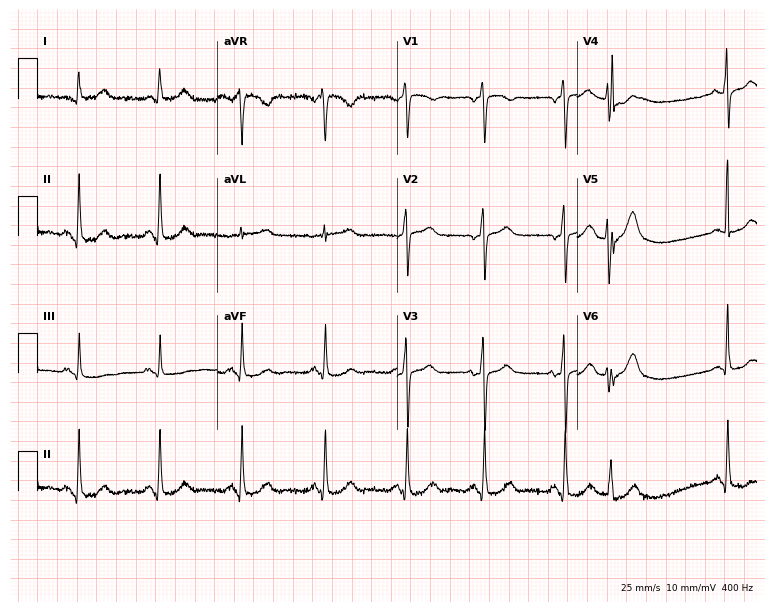
ECG (7.3-second recording at 400 Hz) — a 69-year-old female. Screened for six findings — first-degree AV block, right bundle branch block, left bundle branch block, sinus bradycardia, atrial fibrillation, sinus tachycardia — none is recorded. Only these six findings were labelled.